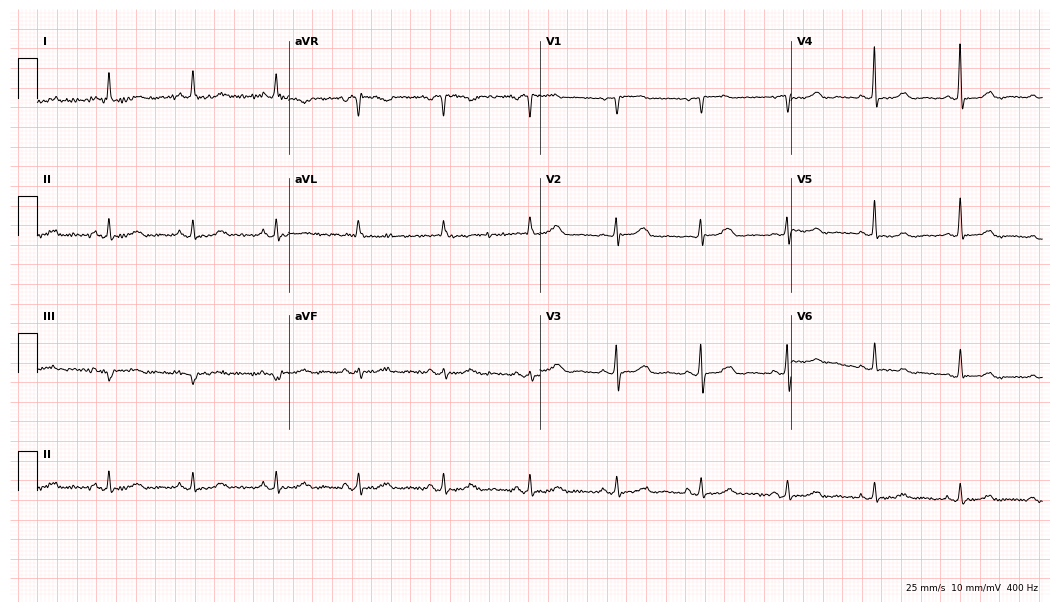
Electrocardiogram (10.2-second recording at 400 Hz), an 80-year-old female patient. Overall reading on record: normal ECG.